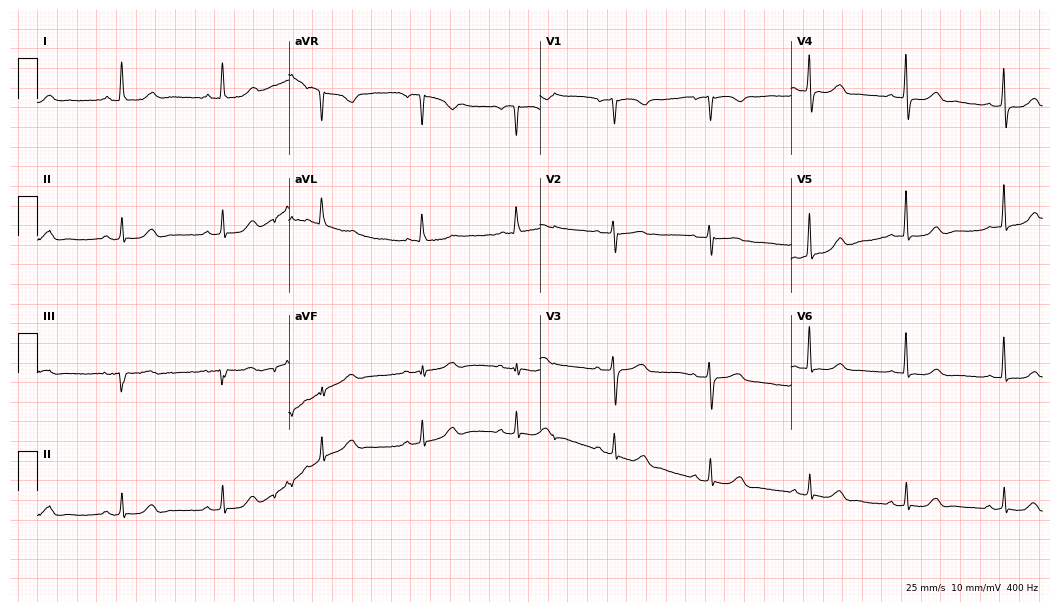
12-lead ECG from a 71-year-old woman (10.2-second recording at 400 Hz). Recorded interpretation: within normal limits.